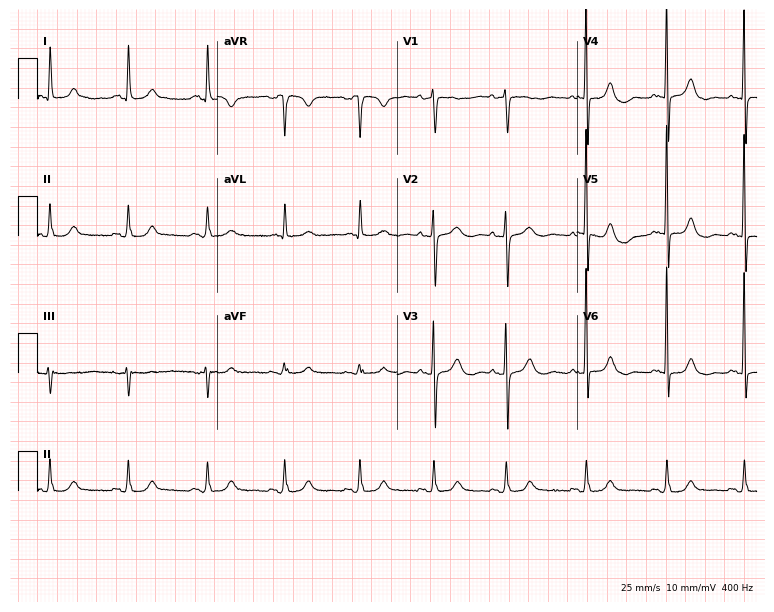
Electrocardiogram, a female patient, 76 years old. Overall reading on record: normal ECG.